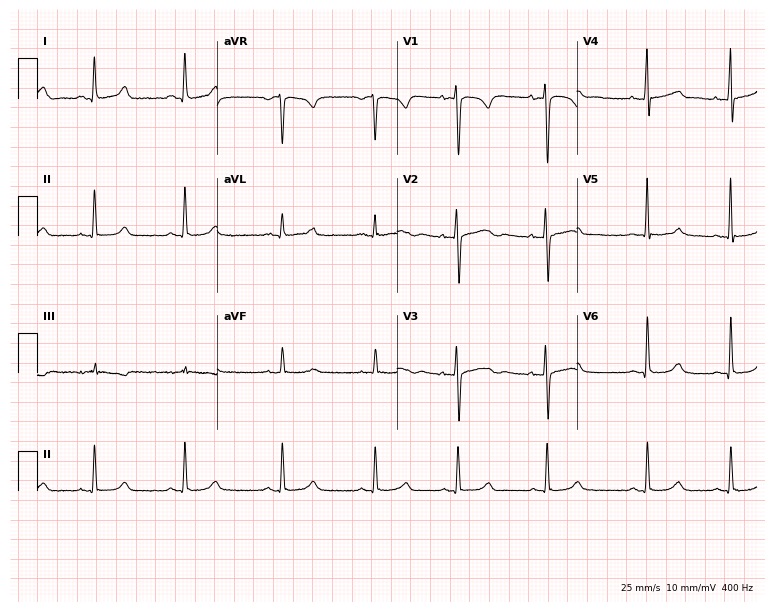
12-lead ECG from a 23-year-old female. Recorded interpretation: within normal limits.